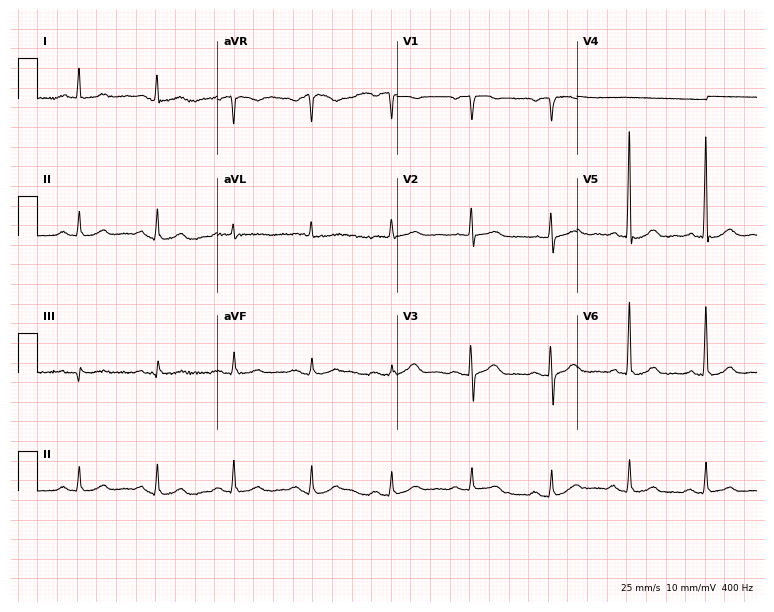
12-lead ECG (7.3-second recording at 400 Hz) from a 79-year-old female patient. Labelled as a normal ECG.